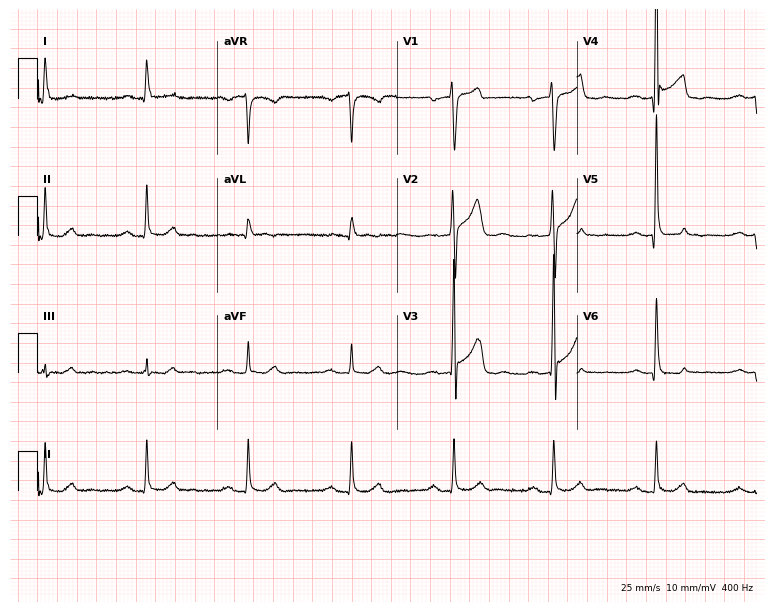
12-lead ECG from a 49-year-old man. Screened for six findings — first-degree AV block, right bundle branch block, left bundle branch block, sinus bradycardia, atrial fibrillation, sinus tachycardia — none is recorded.